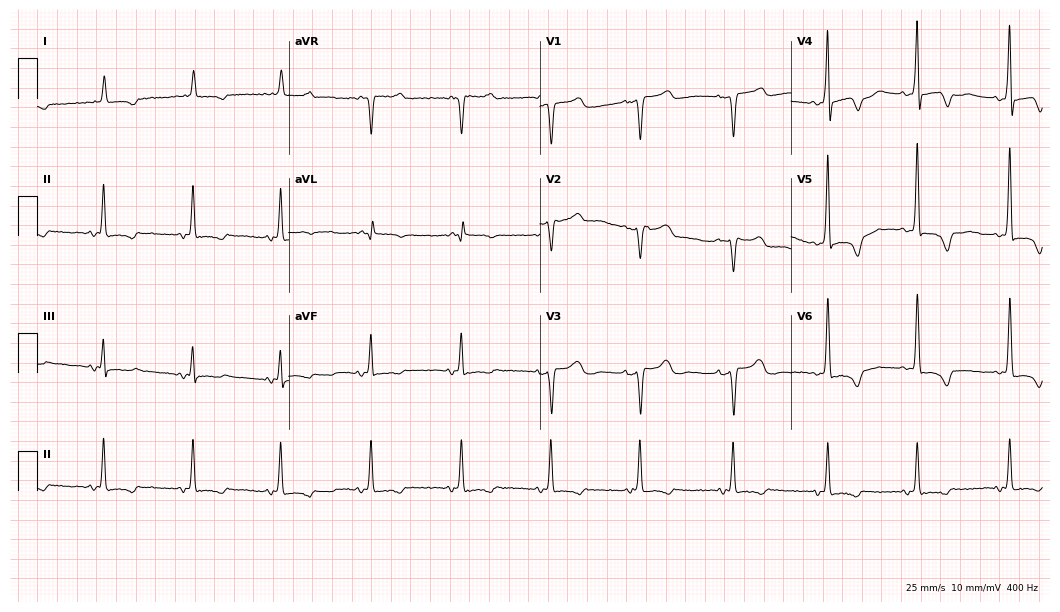
Resting 12-lead electrocardiogram (10.2-second recording at 400 Hz). Patient: a 76-year-old female. None of these six findings is recorded: first-degree AV block, right bundle branch block, left bundle branch block, sinus bradycardia, atrial fibrillation, sinus tachycardia. Only these six findings were labelled.